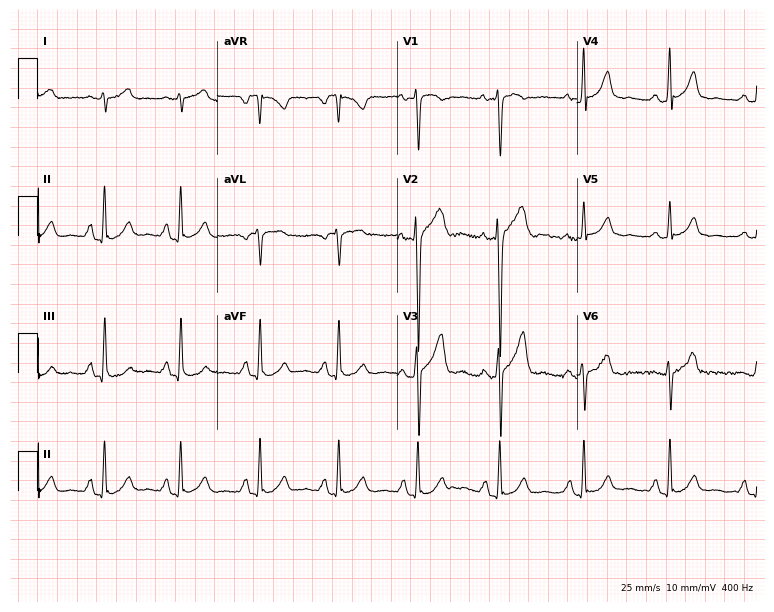
12-lead ECG from a 41-year-old male patient (7.3-second recording at 400 Hz). No first-degree AV block, right bundle branch block, left bundle branch block, sinus bradycardia, atrial fibrillation or sinus tachycardia recorded for this tracing.